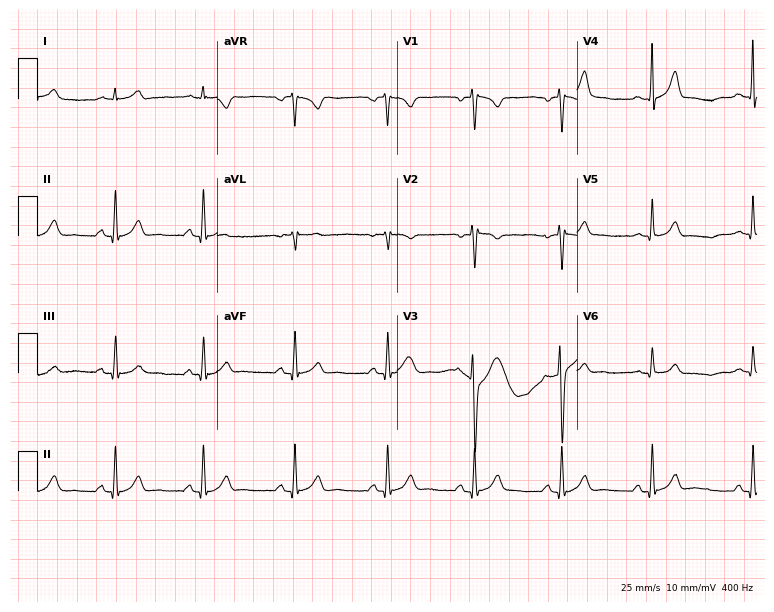
12-lead ECG from a 28-year-old male. Recorded interpretation: within normal limits.